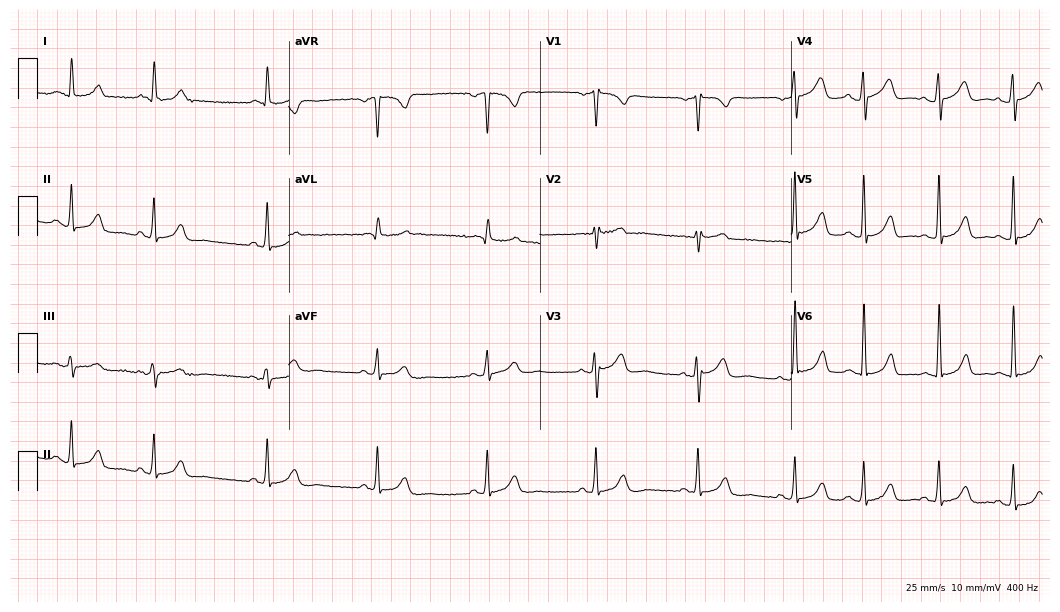
12-lead ECG (10.2-second recording at 400 Hz) from a 73-year-old woman. Labelled as a normal ECG.